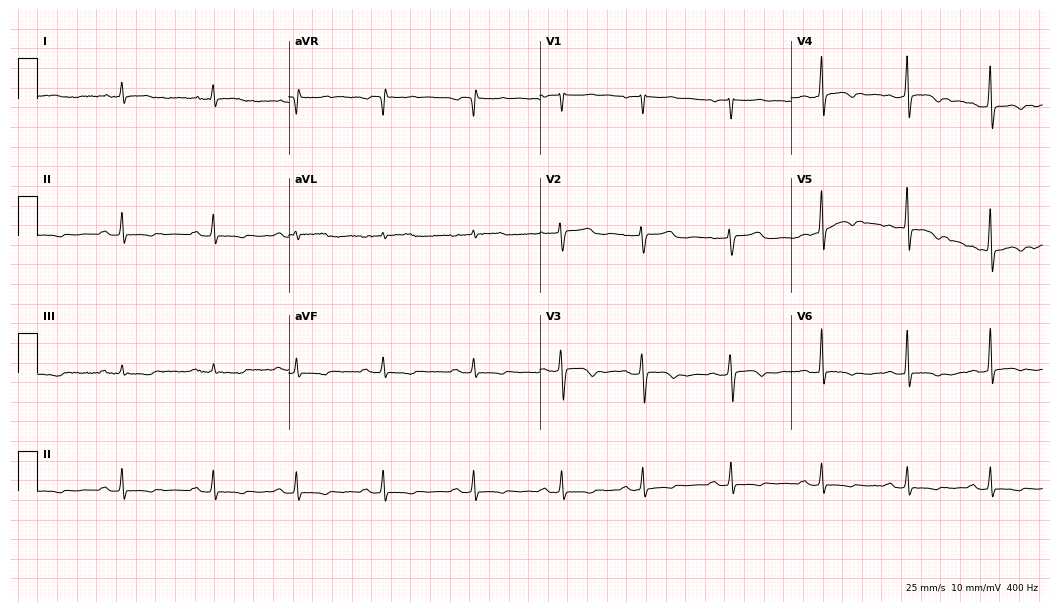
Resting 12-lead electrocardiogram (10.2-second recording at 400 Hz). Patient: a woman, 43 years old. None of these six findings is recorded: first-degree AV block, right bundle branch block, left bundle branch block, sinus bradycardia, atrial fibrillation, sinus tachycardia.